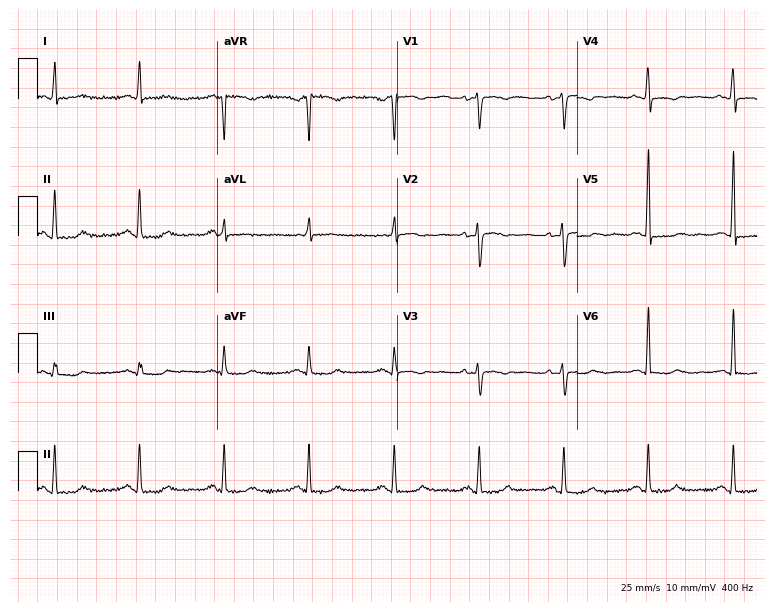
Standard 12-lead ECG recorded from a 65-year-old female. None of these six findings is recorded: first-degree AV block, right bundle branch block, left bundle branch block, sinus bradycardia, atrial fibrillation, sinus tachycardia.